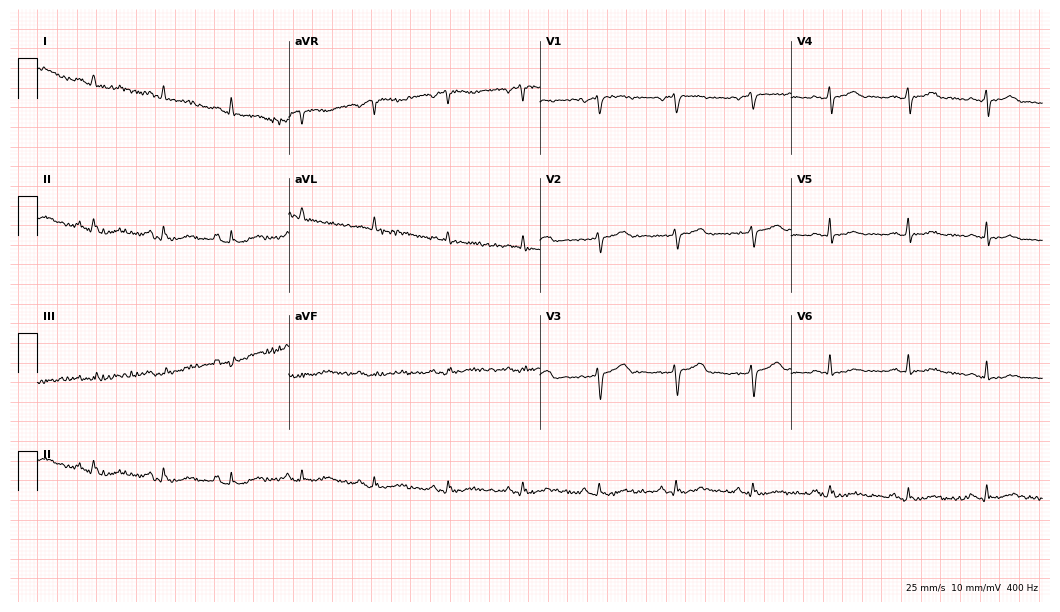
12-lead ECG from a woman, 63 years old. Screened for six findings — first-degree AV block, right bundle branch block (RBBB), left bundle branch block (LBBB), sinus bradycardia, atrial fibrillation (AF), sinus tachycardia — none is recorded. Findings outside these six are not listed.